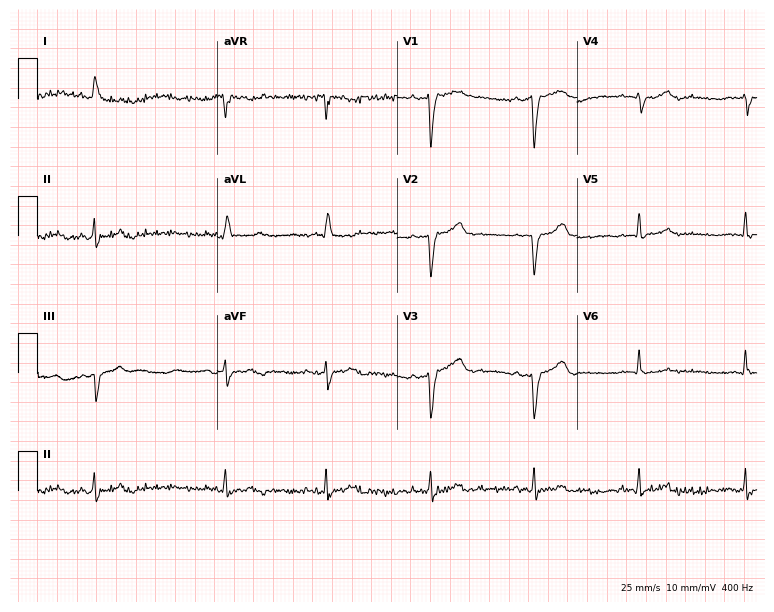
Resting 12-lead electrocardiogram. Patient: a male, 57 years old. None of these six findings is recorded: first-degree AV block, right bundle branch block, left bundle branch block, sinus bradycardia, atrial fibrillation, sinus tachycardia.